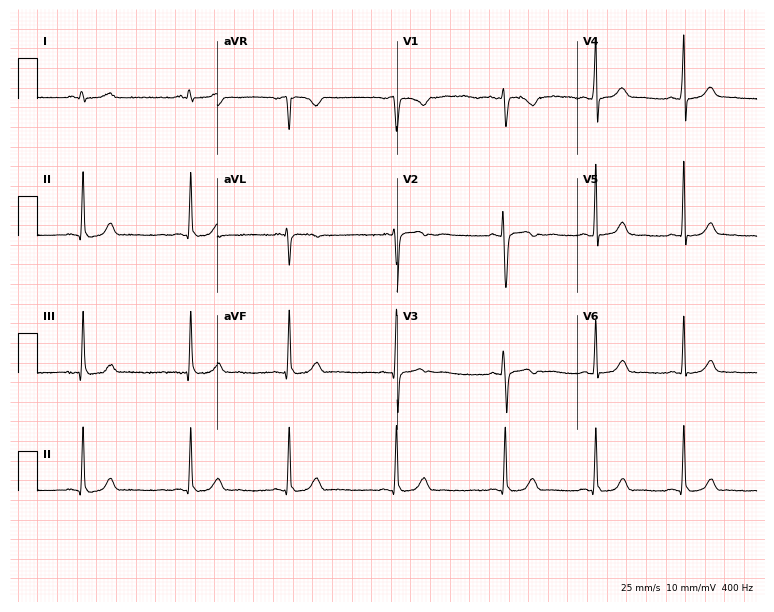
Resting 12-lead electrocardiogram. Patient: a 20-year-old woman. Read as a normal ECG.